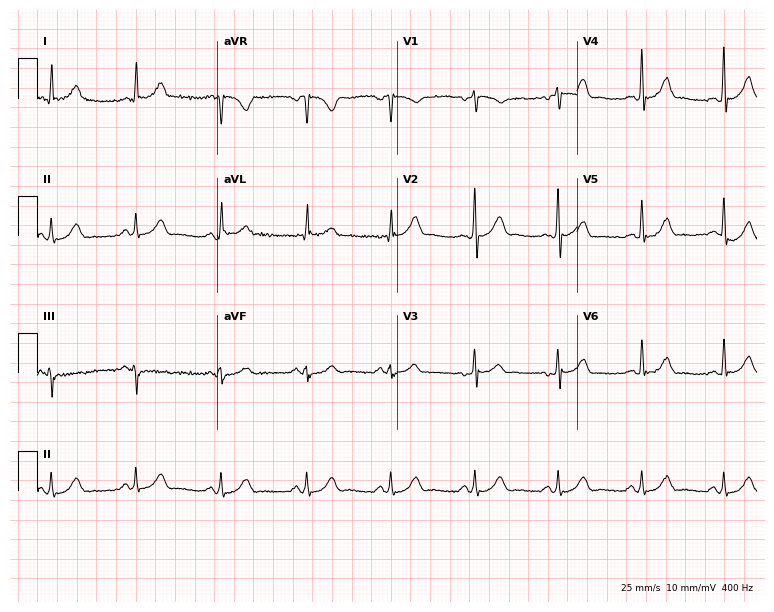
ECG (7.3-second recording at 400 Hz) — a 54-year-old male. Labelled as a normal ECG.